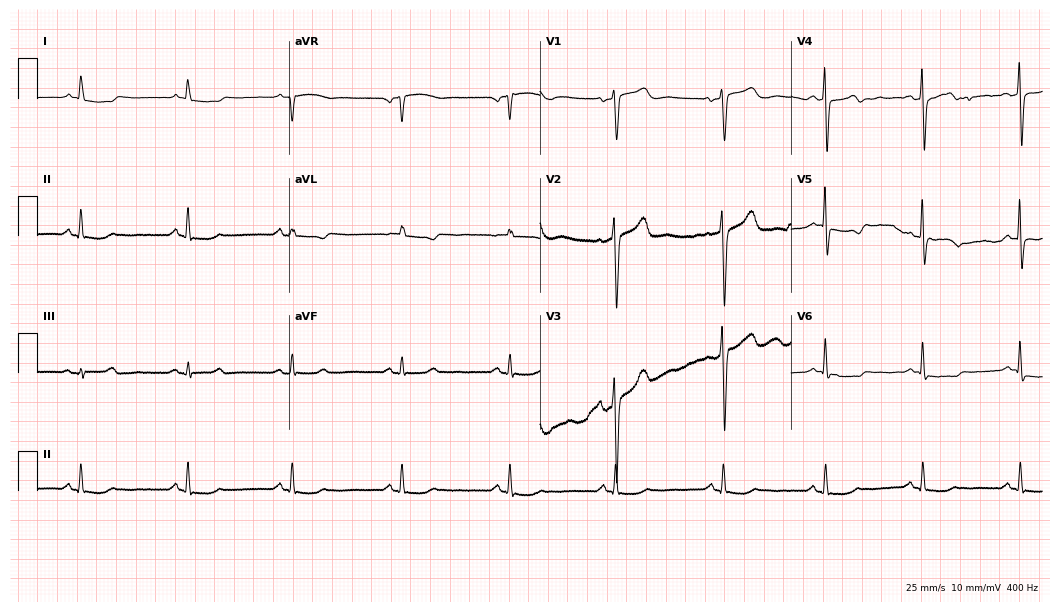
12-lead ECG from a male, 77 years old. No first-degree AV block, right bundle branch block (RBBB), left bundle branch block (LBBB), sinus bradycardia, atrial fibrillation (AF) or sinus tachycardia recorded for this tracing.